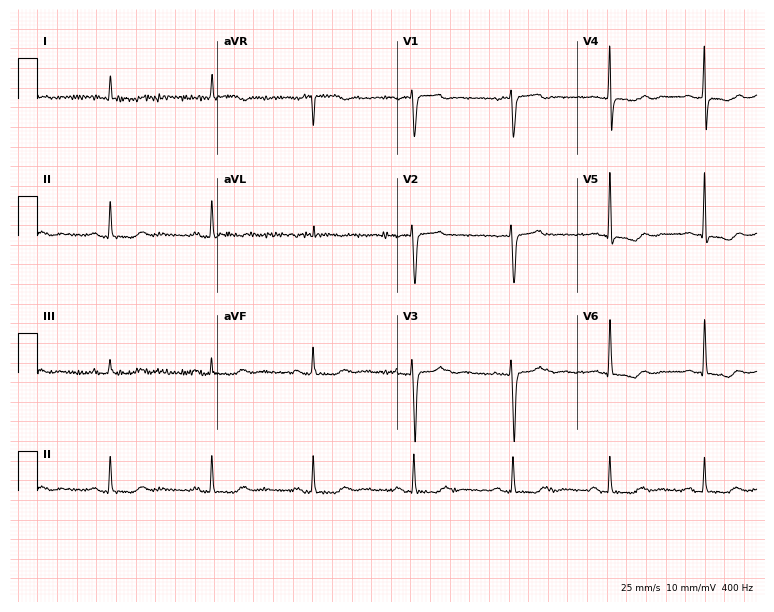
Electrocardiogram, an 86-year-old female patient. Of the six screened findings (first-degree AV block, right bundle branch block (RBBB), left bundle branch block (LBBB), sinus bradycardia, atrial fibrillation (AF), sinus tachycardia), none is recorded. Only these six findings were labelled.